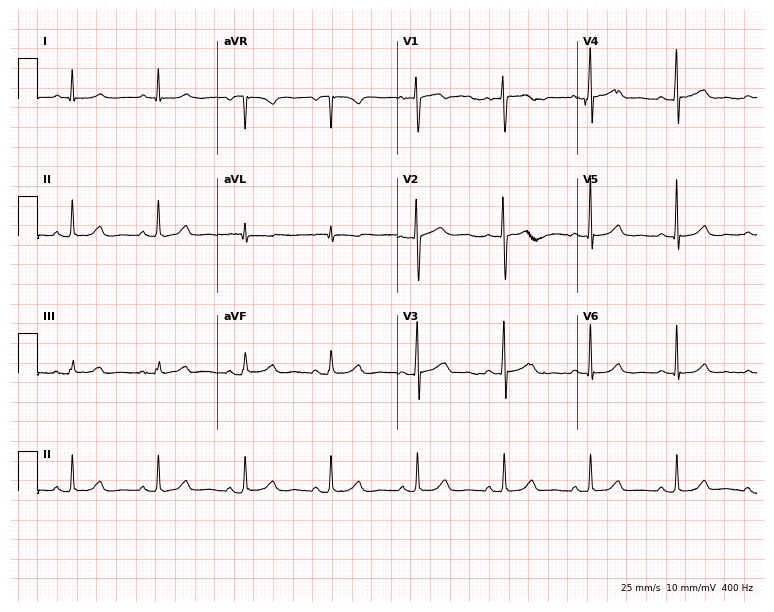
12-lead ECG (7.3-second recording at 400 Hz) from a 72-year-old female. Screened for six findings — first-degree AV block, right bundle branch block, left bundle branch block, sinus bradycardia, atrial fibrillation, sinus tachycardia — none is recorded. Other findings, if any, are not listed.